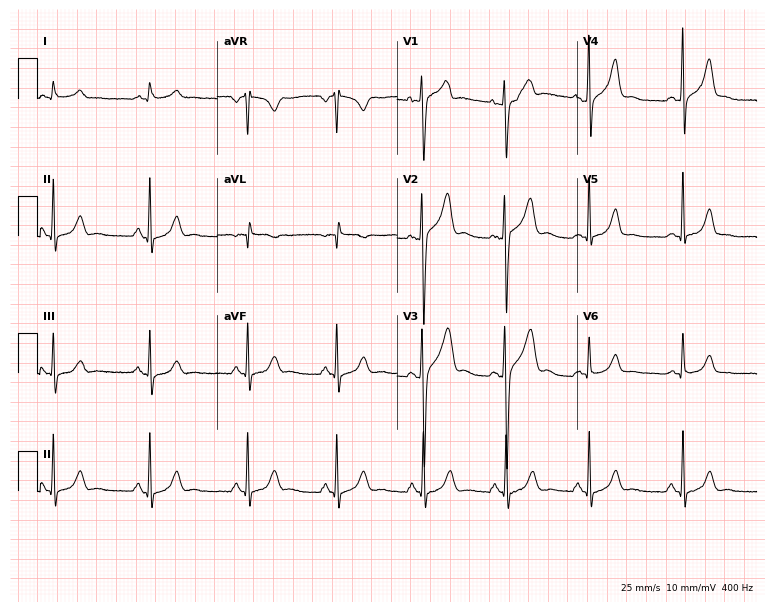
12-lead ECG from a 30-year-old man. Recorded interpretation: within normal limits.